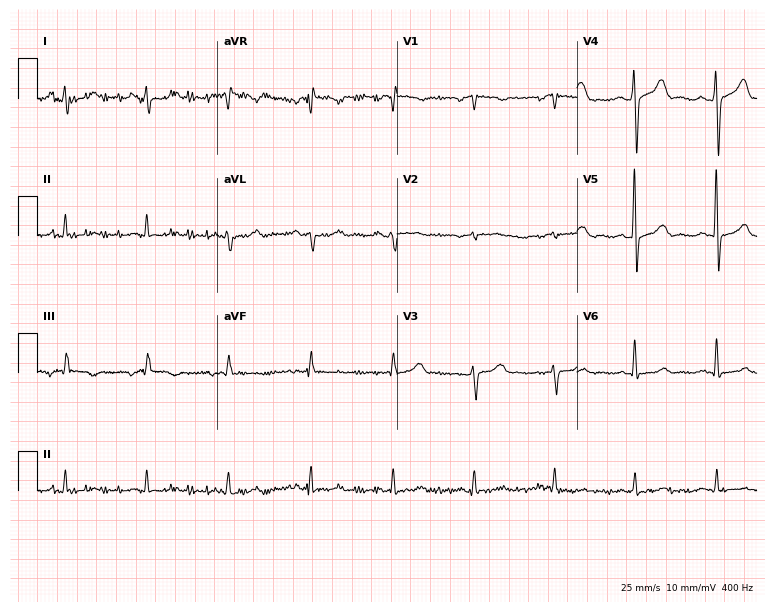
Standard 12-lead ECG recorded from a 74-year-old male. None of these six findings is recorded: first-degree AV block, right bundle branch block, left bundle branch block, sinus bradycardia, atrial fibrillation, sinus tachycardia. Other findings, if any, are not listed.